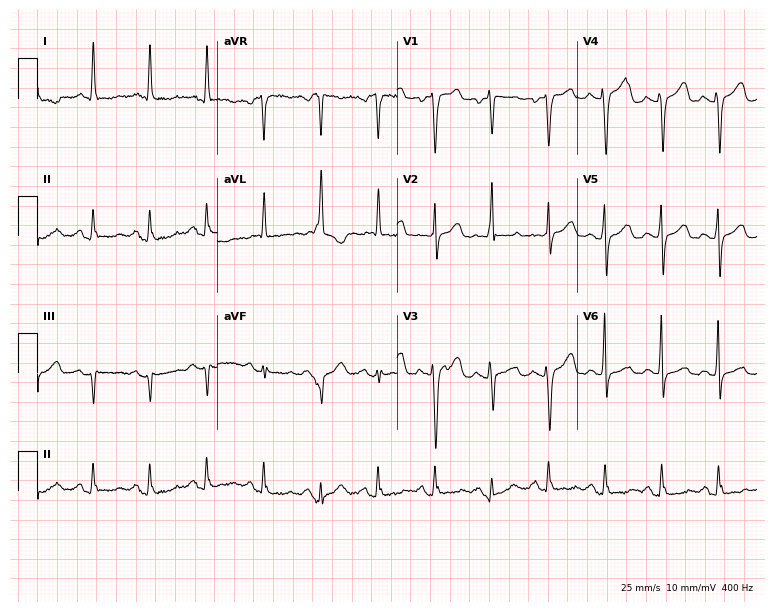
12-lead ECG from a woman, 61 years old. Shows sinus tachycardia (a sinus rate of 100 beats per minute or more).